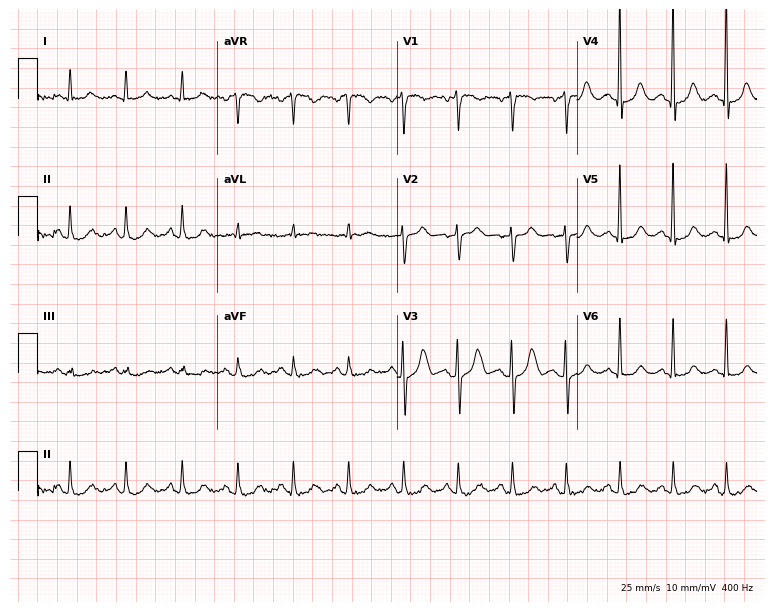
12-lead ECG (7.3-second recording at 400 Hz) from a 50-year-old female. Findings include sinus tachycardia (a sinus rate of 100 beats per minute or more).